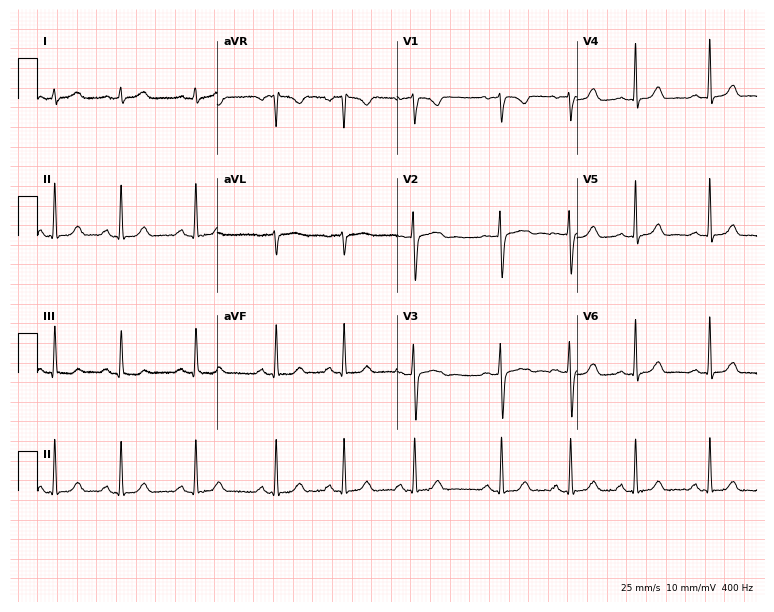
Electrocardiogram, a woman, 20 years old. Overall reading on record: normal ECG.